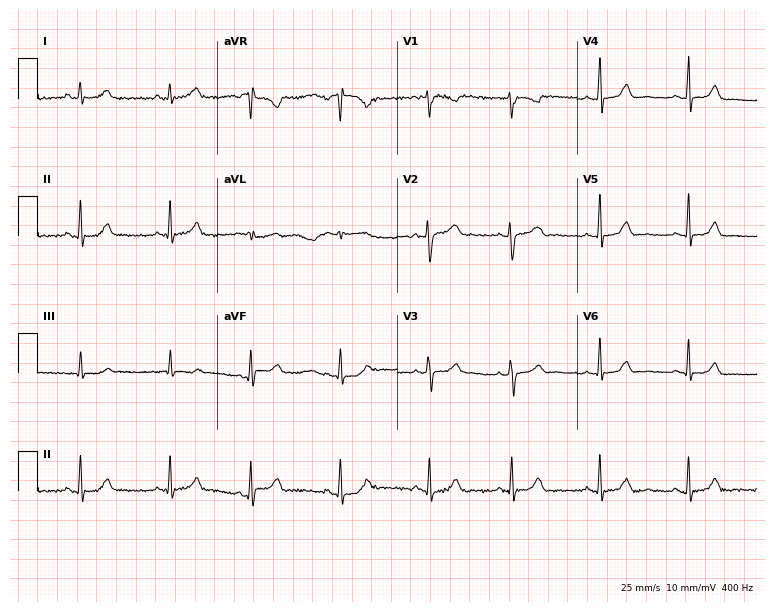
12-lead ECG (7.3-second recording at 400 Hz) from a woman, 27 years old. Labelled as a normal ECG.